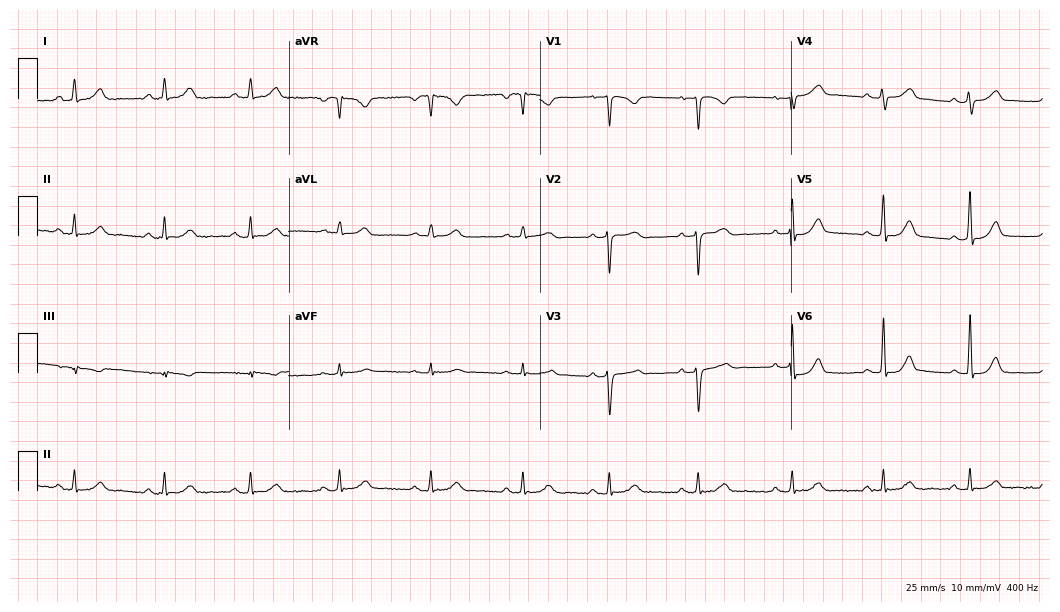
12-lead ECG (10.2-second recording at 400 Hz) from a female patient, 45 years old. Labelled as a normal ECG.